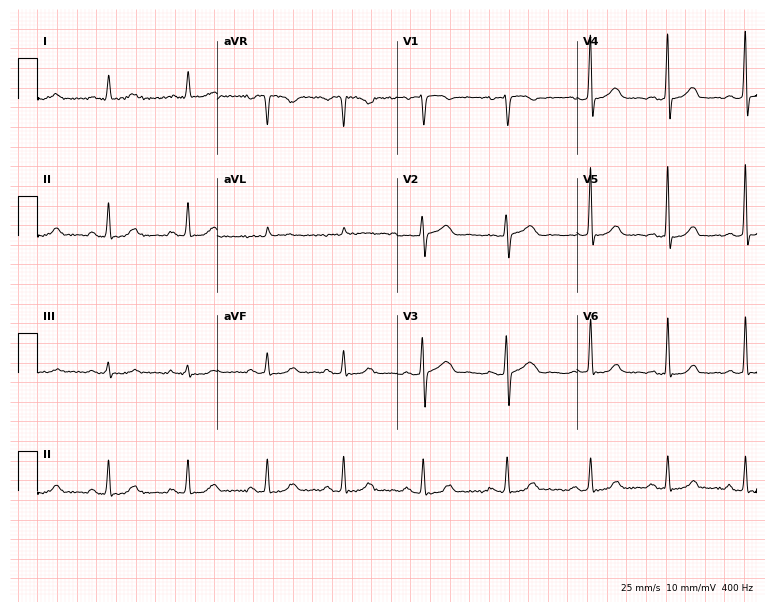
Electrocardiogram (7.3-second recording at 400 Hz), a female patient, 48 years old. Of the six screened findings (first-degree AV block, right bundle branch block (RBBB), left bundle branch block (LBBB), sinus bradycardia, atrial fibrillation (AF), sinus tachycardia), none is recorded.